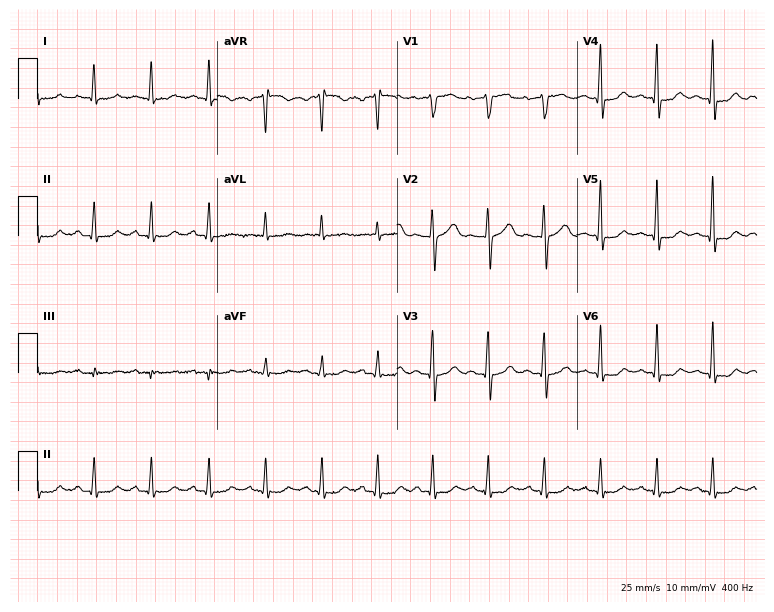
ECG (7.3-second recording at 400 Hz) — a 58-year-old female. Findings include sinus tachycardia (a sinus rate of 100 beats per minute or more).